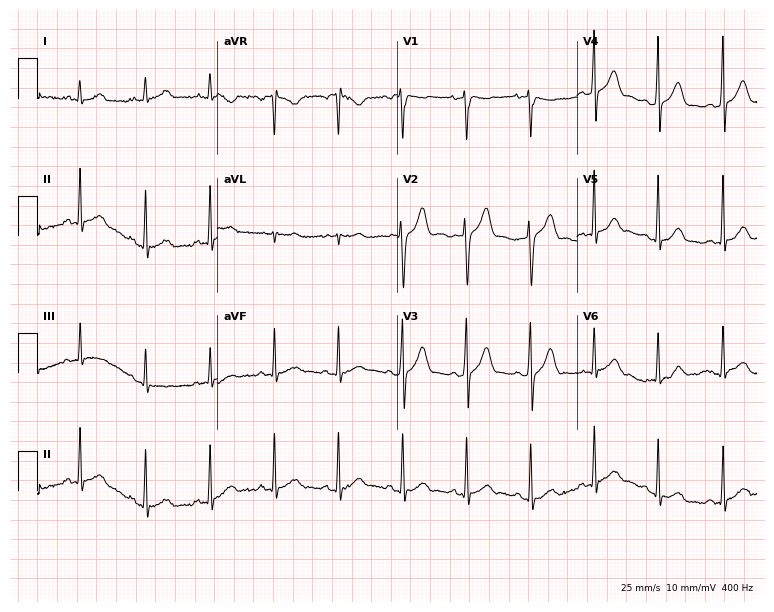
Standard 12-lead ECG recorded from a 30-year-old man. Read as a normal ECG.